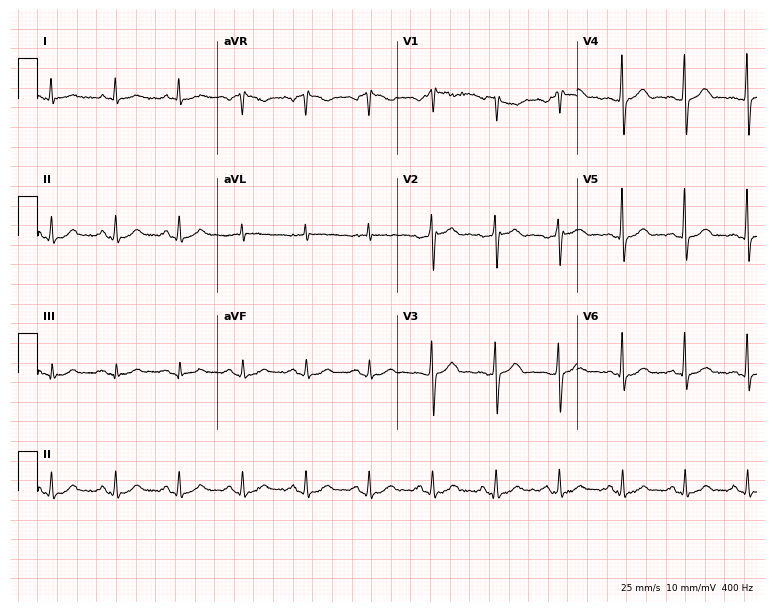
Electrocardiogram (7.3-second recording at 400 Hz), a male patient, 66 years old. Of the six screened findings (first-degree AV block, right bundle branch block, left bundle branch block, sinus bradycardia, atrial fibrillation, sinus tachycardia), none is recorded.